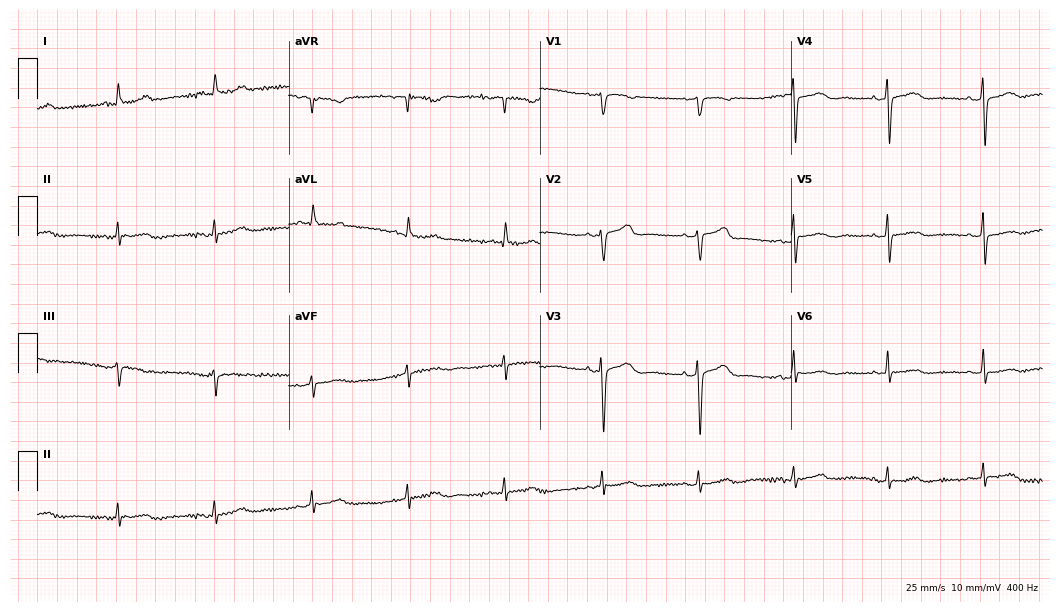
Resting 12-lead electrocardiogram. Patient: a 69-year-old woman. None of these six findings is recorded: first-degree AV block, right bundle branch block, left bundle branch block, sinus bradycardia, atrial fibrillation, sinus tachycardia.